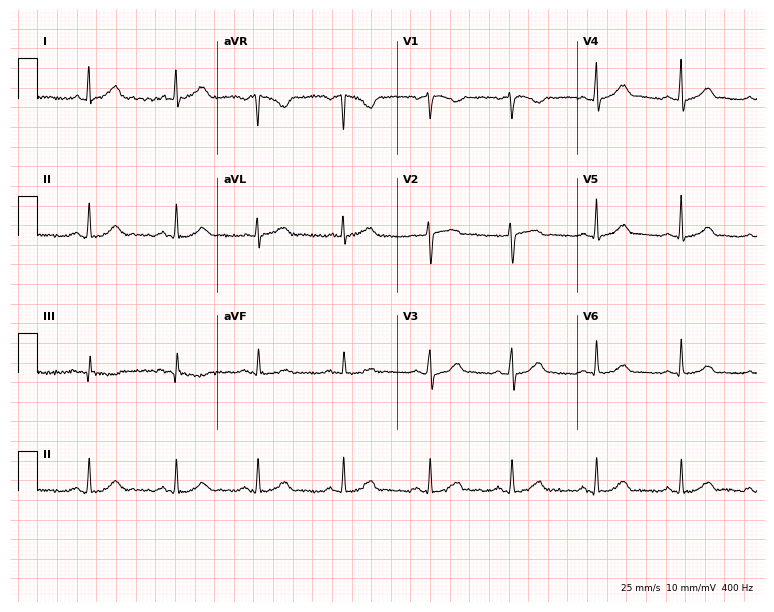
ECG (7.3-second recording at 400 Hz) — a female, 35 years old. Labelled as a normal ECG.